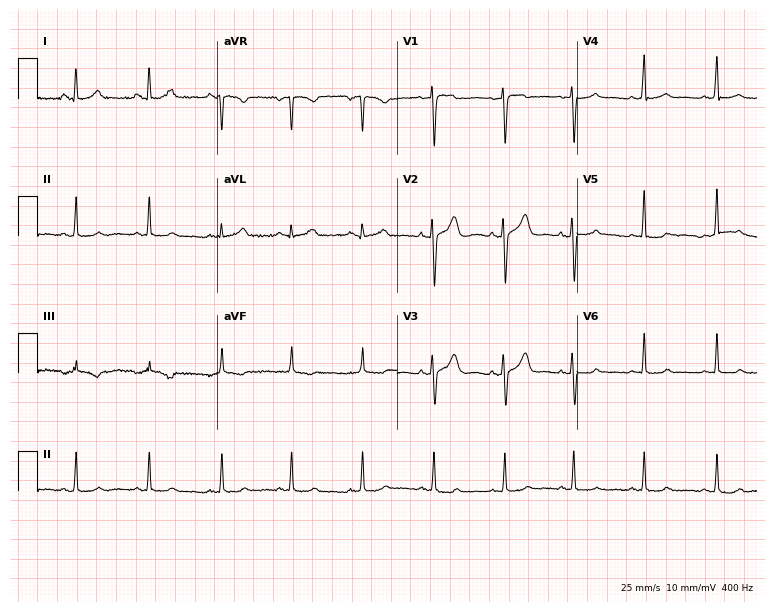
ECG — a woman, 35 years old. Labelled as a normal ECG.